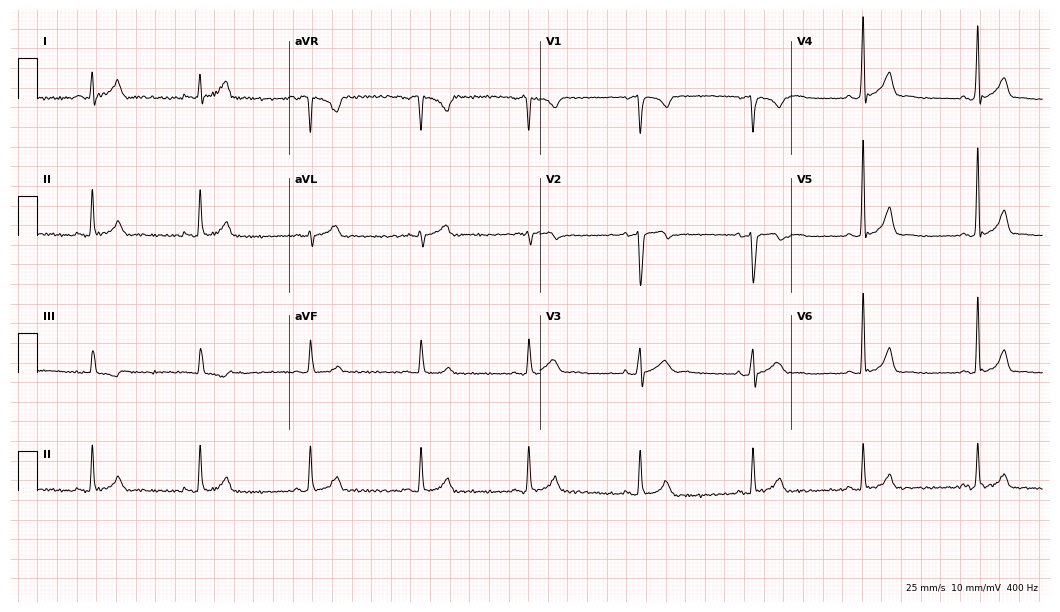
12-lead ECG from a man, 38 years old (10.2-second recording at 400 Hz). No first-degree AV block, right bundle branch block, left bundle branch block, sinus bradycardia, atrial fibrillation or sinus tachycardia recorded for this tracing. Findings outside these six are not listed.